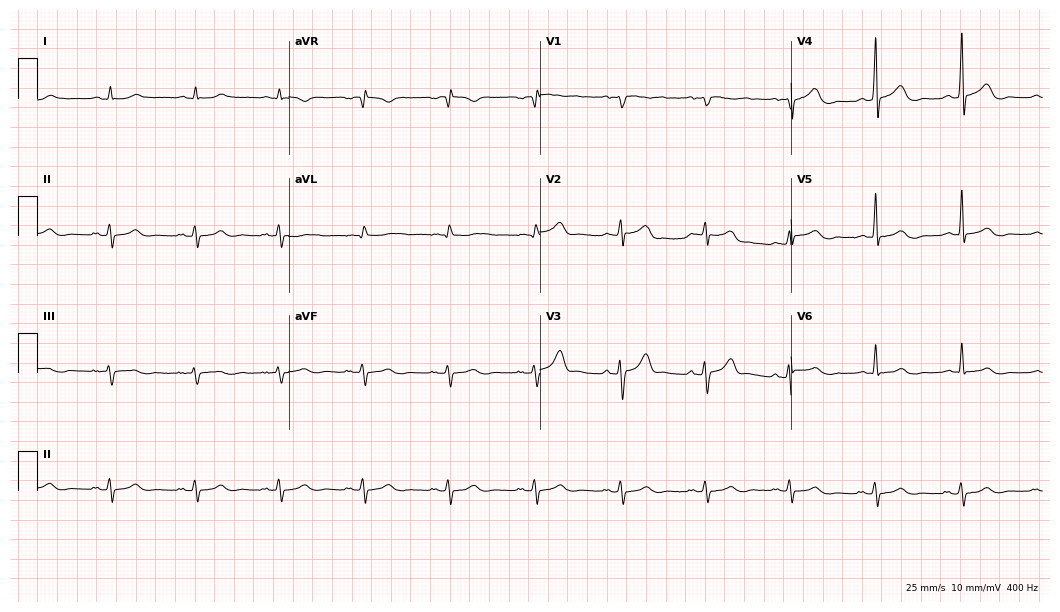
Resting 12-lead electrocardiogram. Patient: a male, 59 years old. Read as a normal ECG.